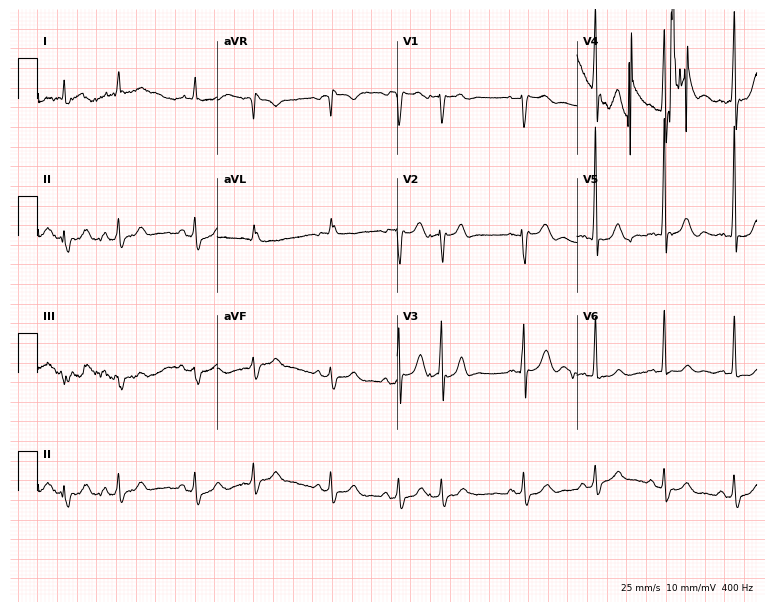
ECG (7.3-second recording at 400 Hz) — a 74-year-old male. Screened for six findings — first-degree AV block, right bundle branch block, left bundle branch block, sinus bradycardia, atrial fibrillation, sinus tachycardia — none is recorded.